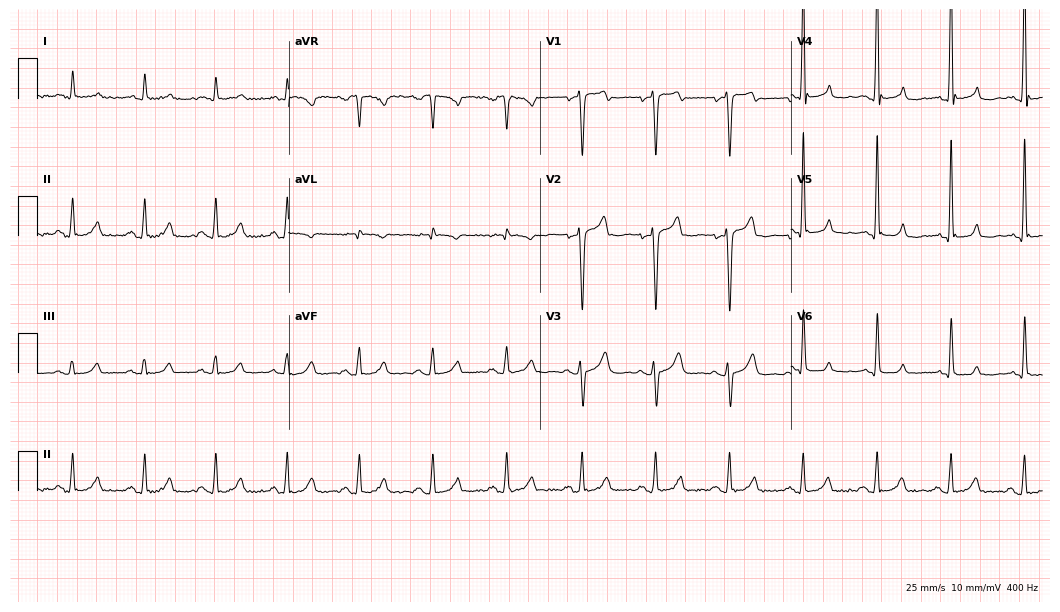
12-lead ECG from a man, 44 years old. Screened for six findings — first-degree AV block, right bundle branch block, left bundle branch block, sinus bradycardia, atrial fibrillation, sinus tachycardia — none is recorded.